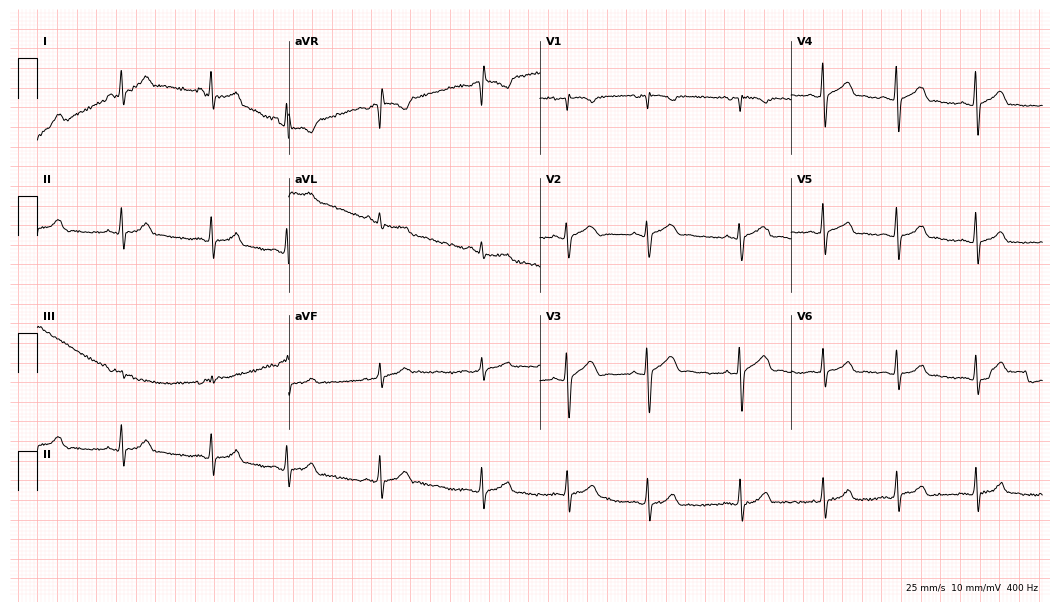
Resting 12-lead electrocardiogram (10.2-second recording at 400 Hz). Patient: a 21-year-old female. Read as a normal ECG.